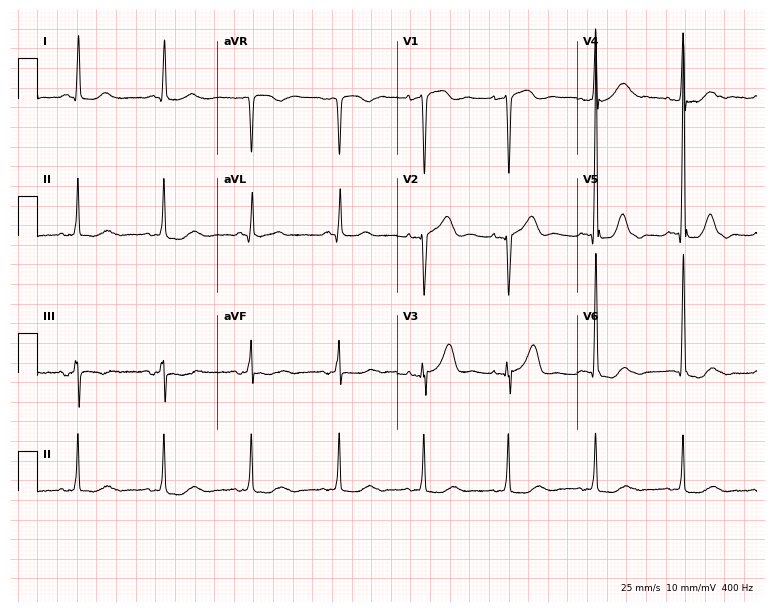
12-lead ECG from a woman, 77 years old. Labelled as a normal ECG.